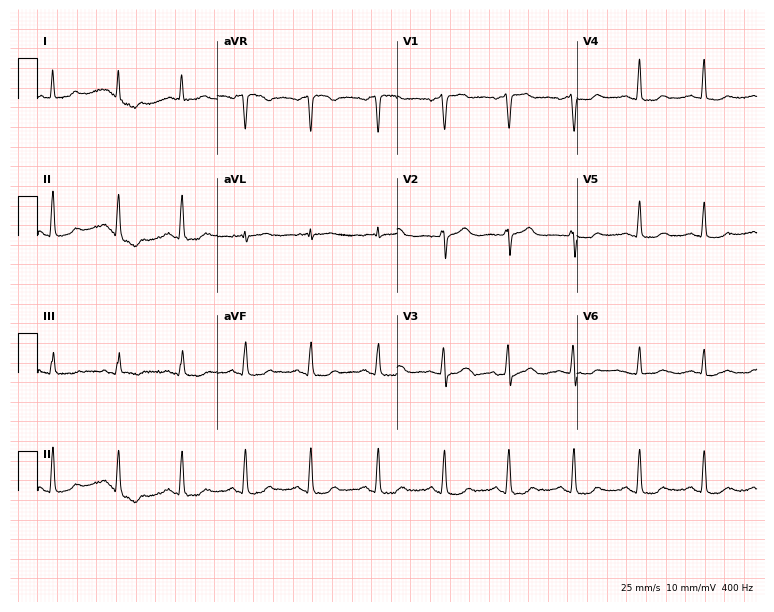
ECG — a female patient, 74 years old. Screened for six findings — first-degree AV block, right bundle branch block (RBBB), left bundle branch block (LBBB), sinus bradycardia, atrial fibrillation (AF), sinus tachycardia — none is recorded.